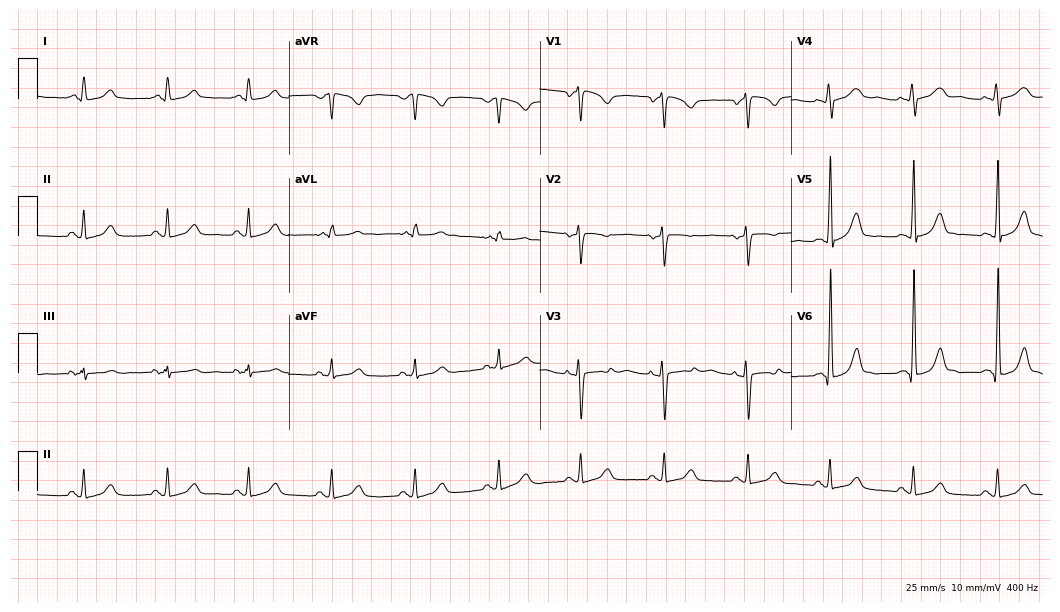
Standard 12-lead ECG recorded from a female patient, 31 years old. Read as a normal ECG.